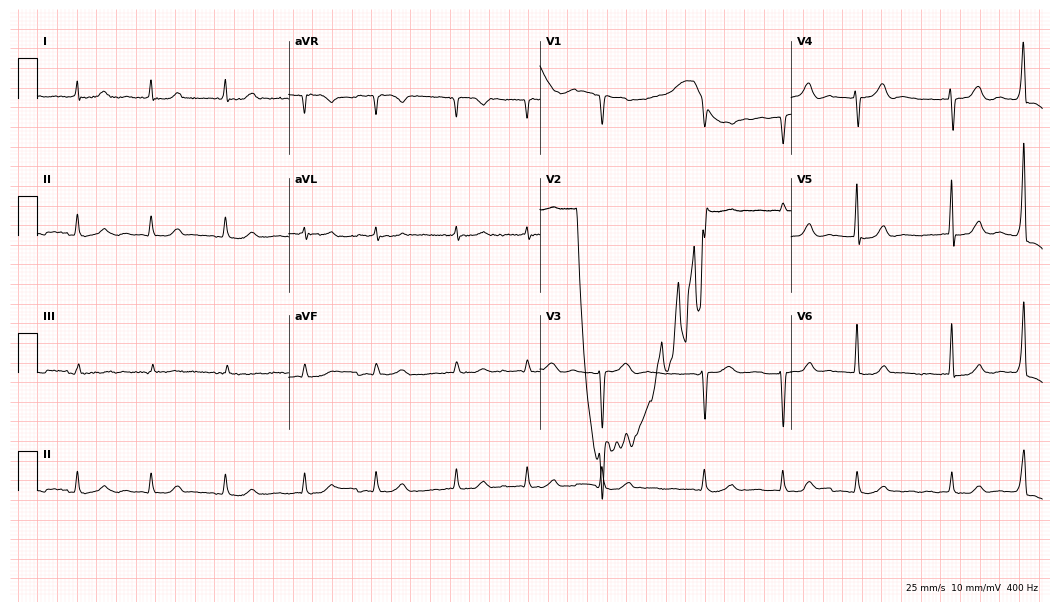
ECG — an 85-year-old male. Findings include atrial fibrillation.